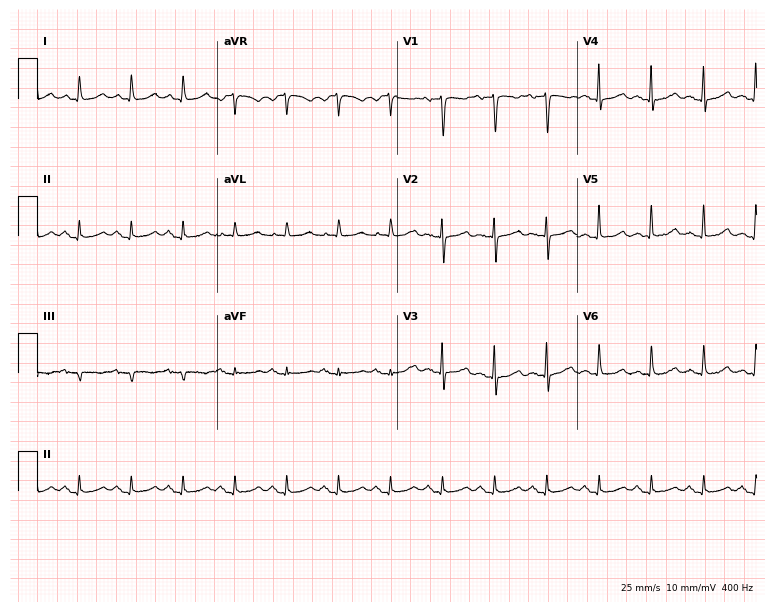
Electrocardiogram (7.3-second recording at 400 Hz), a woman, 57 years old. Interpretation includes sinus tachycardia (a sinus rate of 100 beats per minute or more).